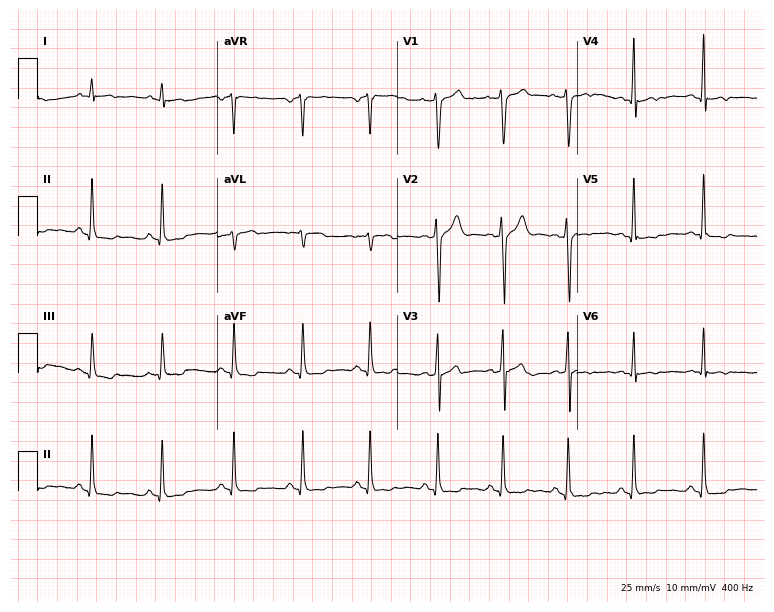
12-lead ECG from a male patient, 40 years old. Screened for six findings — first-degree AV block, right bundle branch block, left bundle branch block, sinus bradycardia, atrial fibrillation, sinus tachycardia — none is recorded.